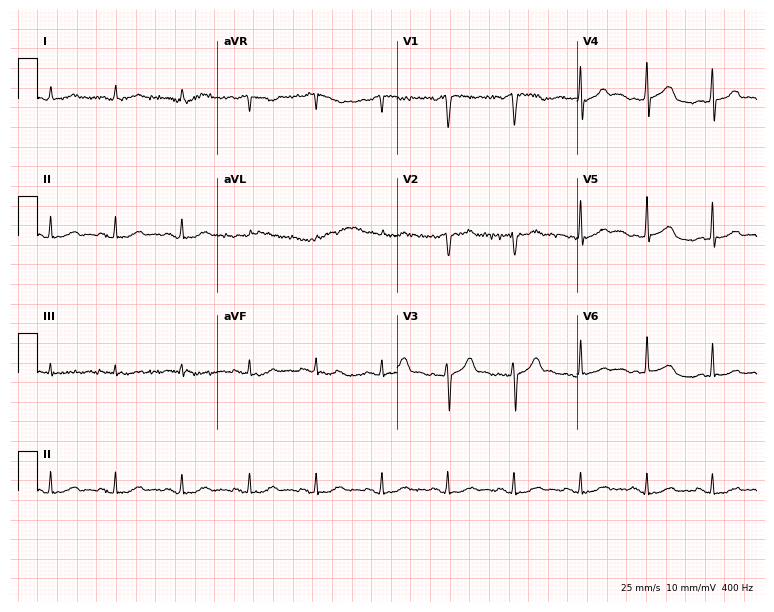
ECG (7.3-second recording at 400 Hz) — a male, 59 years old. Labelled as a normal ECG.